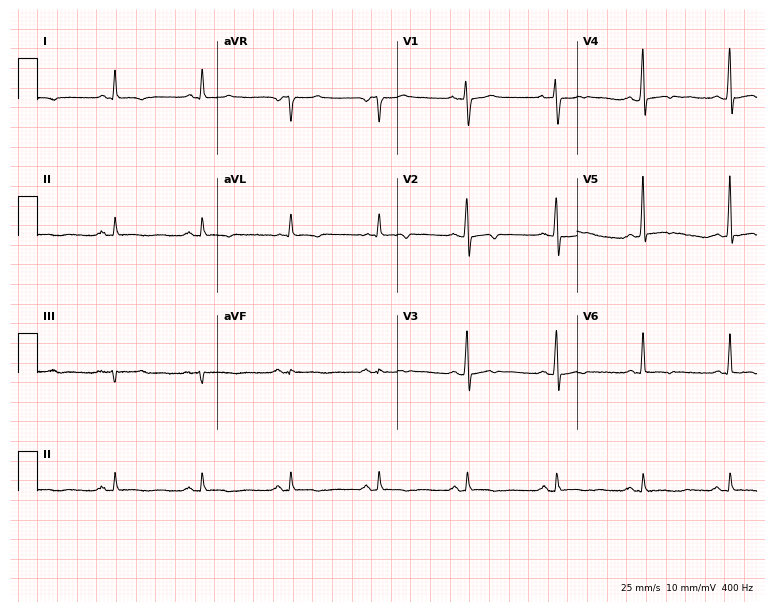
Resting 12-lead electrocardiogram. Patient: a 56-year-old male. None of these six findings is recorded: first-degree AV block, right bundle branch block (RBBB), left bundle branch block (LBBB), sinus bradycardia, atrial fibrillation (AF), sinus tachycardia. Findings outside these six are not listed.